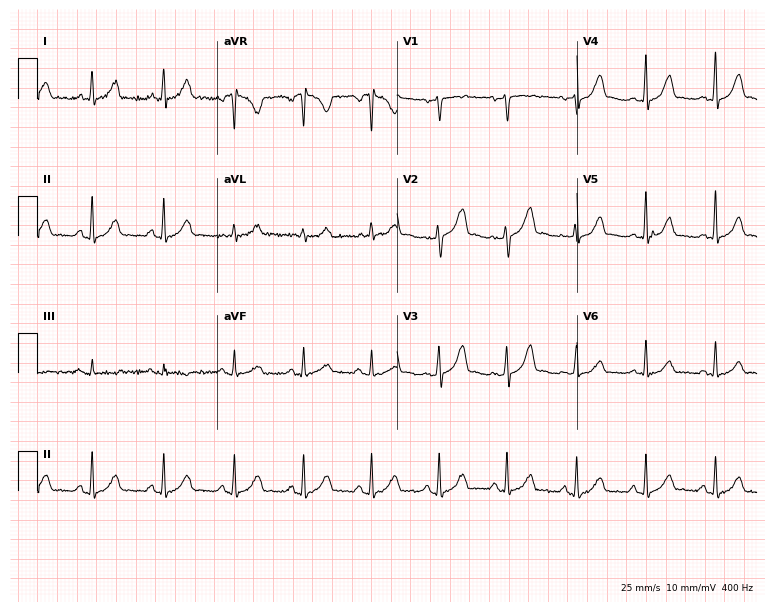
ECG (7.3-second recording at 400 Hz) — a 39-year-old female. Labelled as a normal ECG.